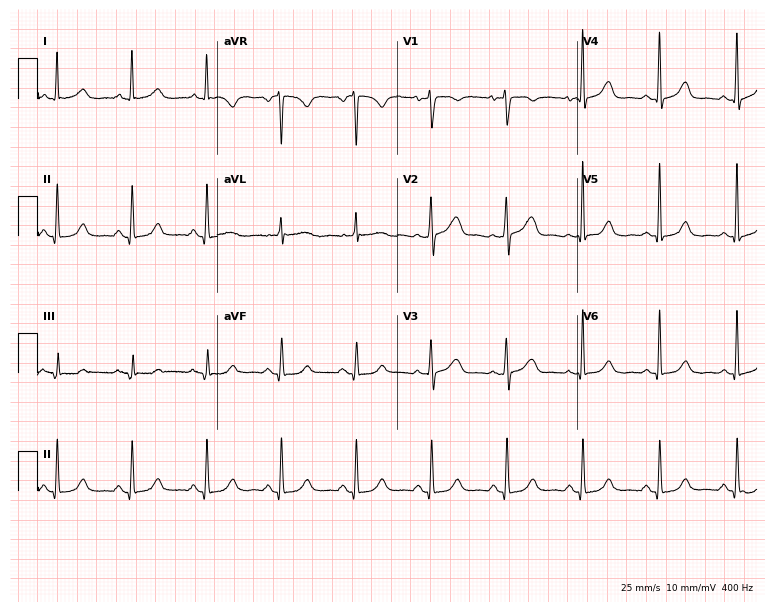
12-lead ECG from a 54-year-old woman (7.3-second recording at 400 Hz). Recorded interpretation: within normal limits.